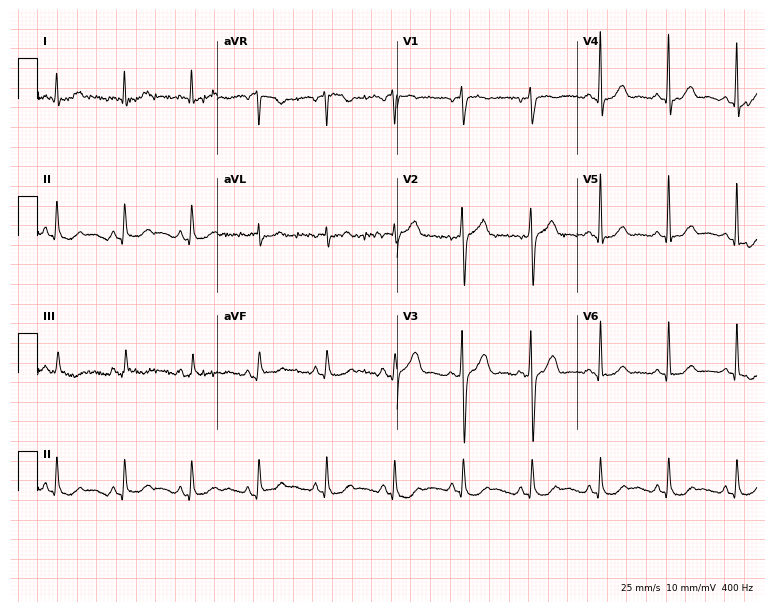
12-lead ECG (7.3-second recording at 400 Hz) from a man, 64 years old. Screened for six findings — first-degree AV block, right bundle branch block, left bundle branch block, sinus bradycardia, atrial fibrillation, sinus tachycardia — none is recorded. Other findings, if any, are not listed.